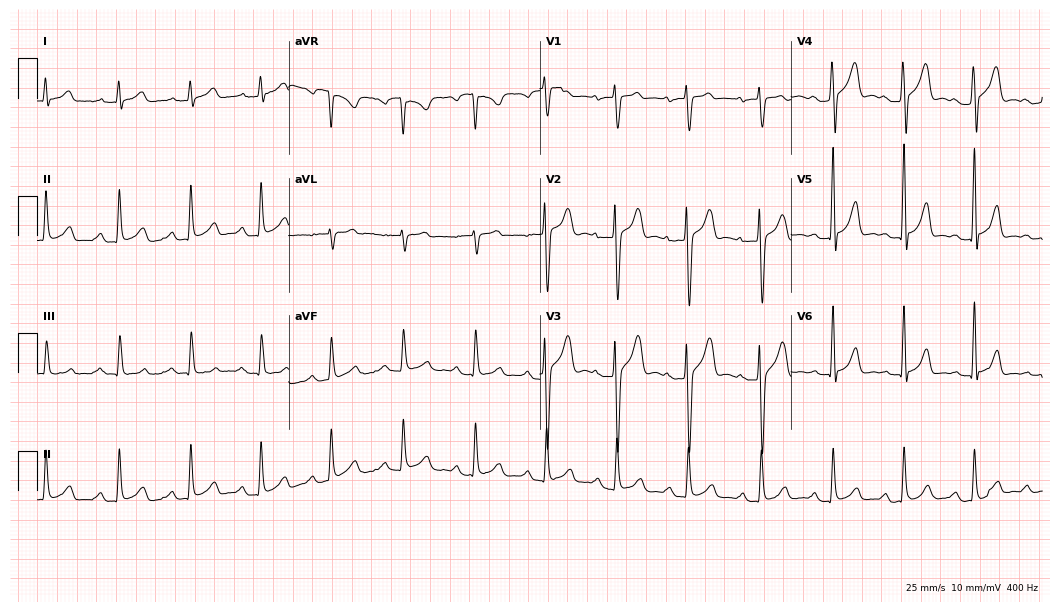
Electrocardiogram, a 33-year-old male. Interpretation includes first-degree AV block.